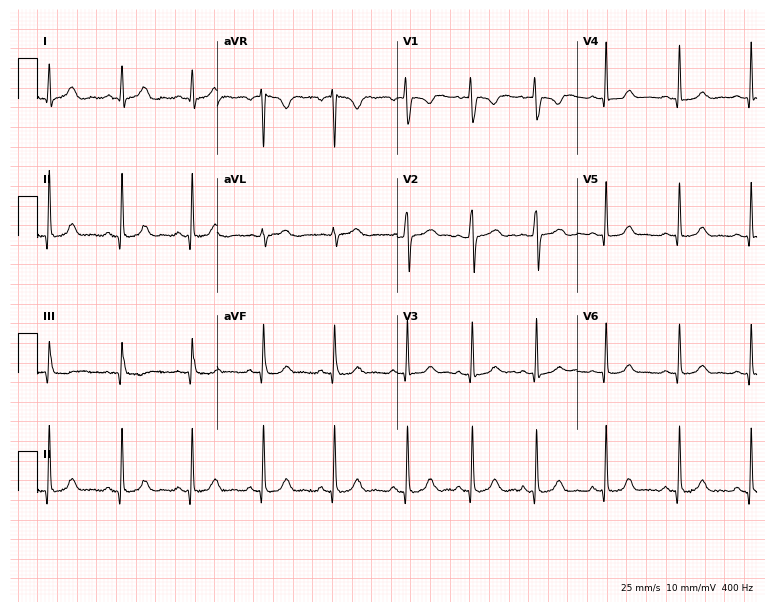
12-lead ECG from a female, 29 years old. Screened for six findings — first-degree AV block, right bundle branch block, left bundle branch block, sinus bradycardia, atrial fibrillation, sinus tachycardia — none is recorded. Other findings, if any, are not listed.